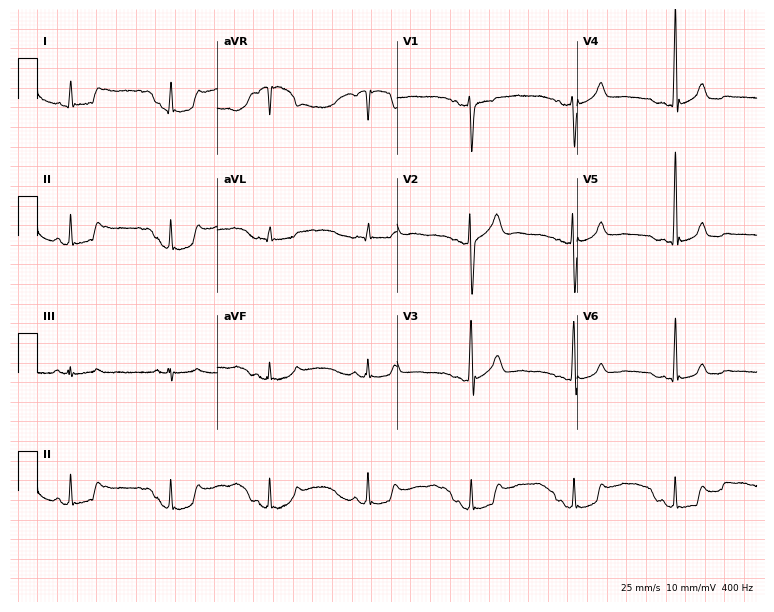
12-lead ECG (7.3-second recording at 400 Hz) from a male patient, 55 years old. Screened for six findings — first-degree AV block, right bundle branch block, left bundle branch block, sinus bradycardia, atrial fibrillation, sinus tachycardia — none is recorded.